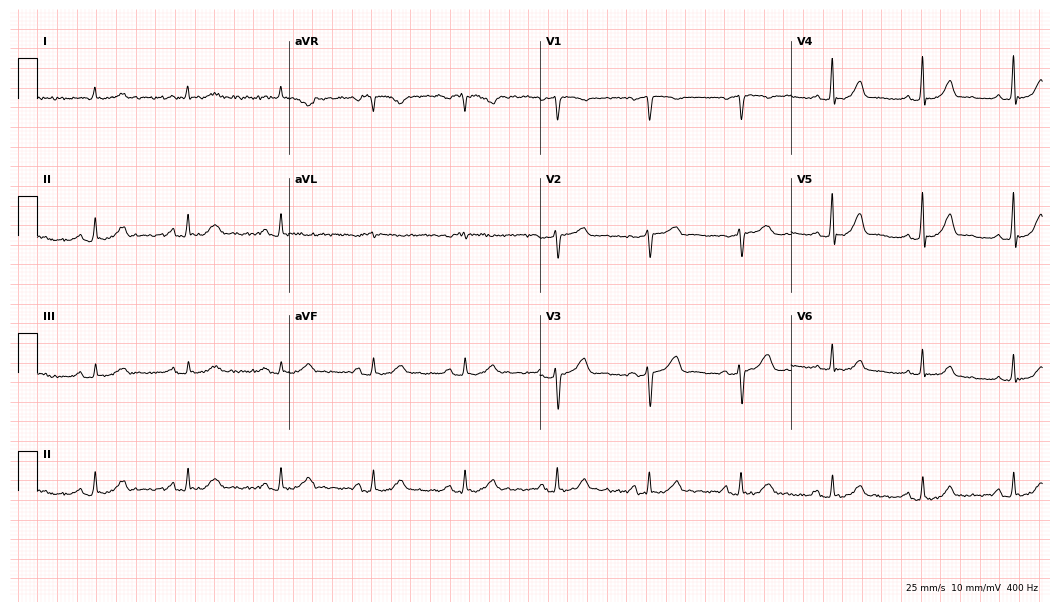
Electrocardiogram (10.2-second recording at 400 Hz), a female, 56 years old. Overall reading on record: normal ECG.